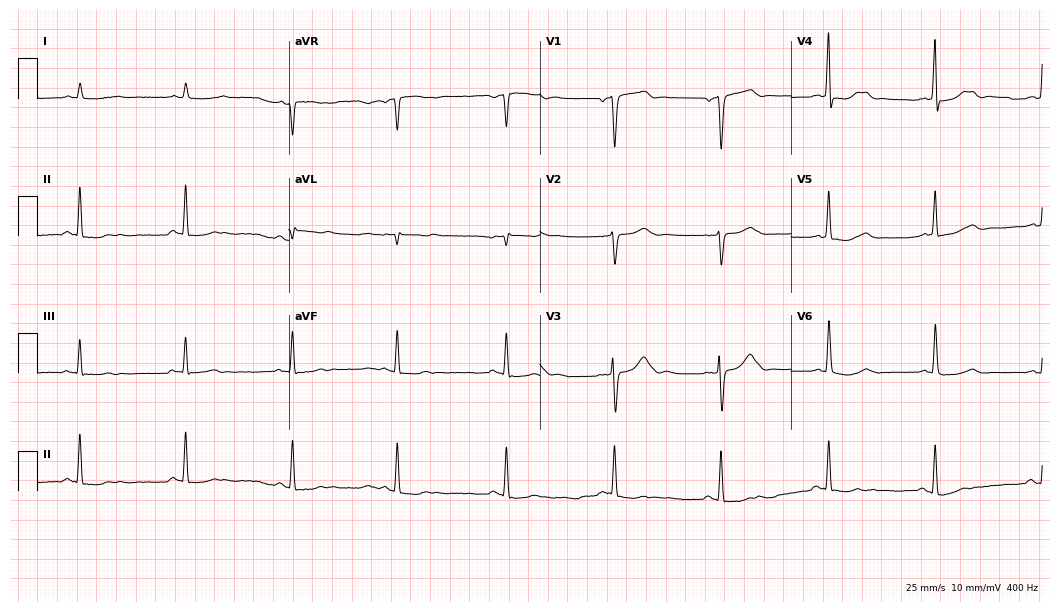
Standard 12-lead ECG recorded from a 72-year-old male (10.2-second recording at 400 Hz). None of these six findings is recorded: first-degree AV block, right bundle branch block, left bundle branch block, sinus bradycardia, atrial fibrillation, sinus tachycardia. Findings outside these six are not listed.